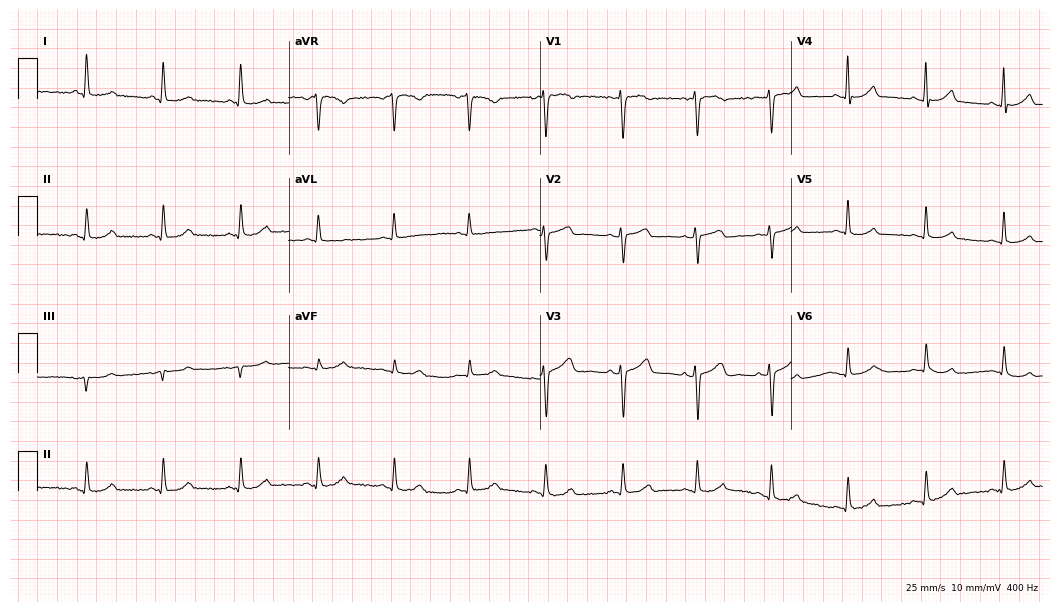
12-lead ECG from a woman, 53 years old. Labelled as a normal ECG.